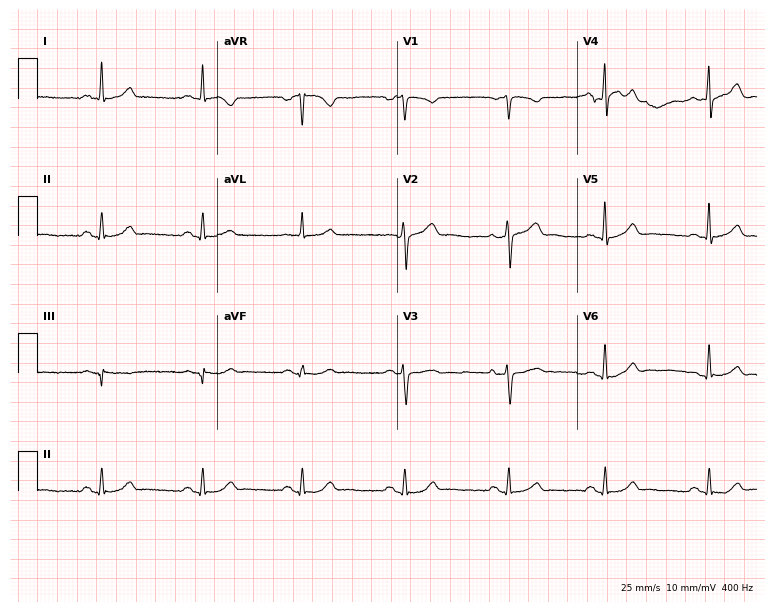
Resting 12-lead electrocardiogram. Patient: a 42-year-old female. None of these six findings is recorded: first-degree AV block, right bundle branch block, left bundle branch block, sinus bradycardia, atrial fibrillation, sinus tachycardia.